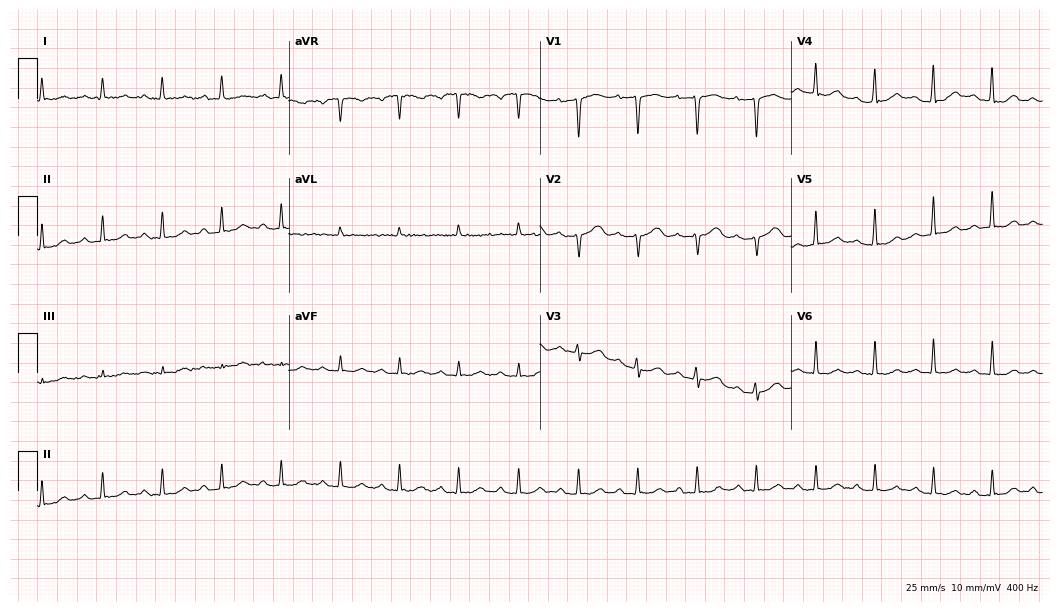
12-lead ECG from a 57-year-old female. No first-degree AV block, right bundle branch block, left bundle branch block, sinus bradycardia, atrial fibrillation or sinus tachycardia recorded for this tracing.